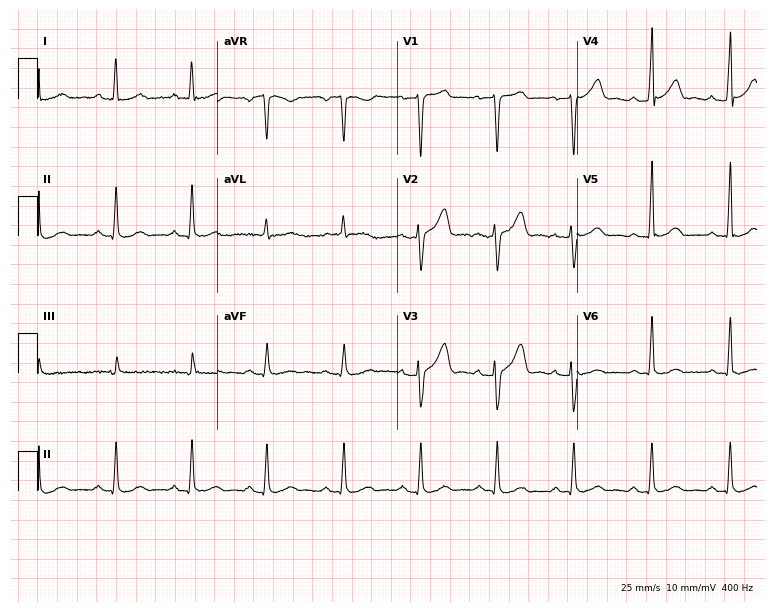
Resting 12-lead electrocardiogram. Patient: a 32-year-old male. Read as a normal ECG.